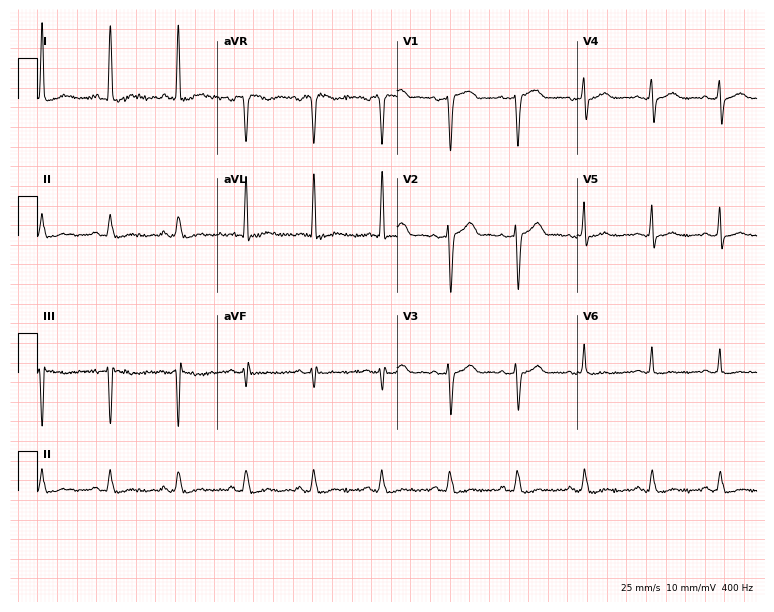
Resting 12-lead electrocardiogram (7.3-second recording at 400 Hz). Patient: a 60-year-old female. None of these six findings is recorded: first-degree AV block, right bundle branch block, left bundle branch block, sinus bradycardia, atrial fibrillation, sinus tachycardia.